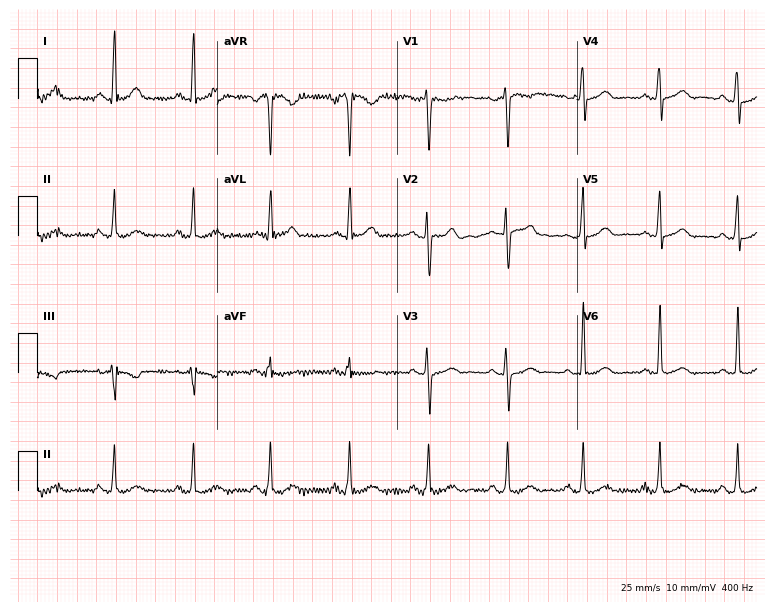
Standard 12-lead ECG recorded from a female patient, 42 years old (7.3-second recording at 400 Hz). Read as a normal ECG.